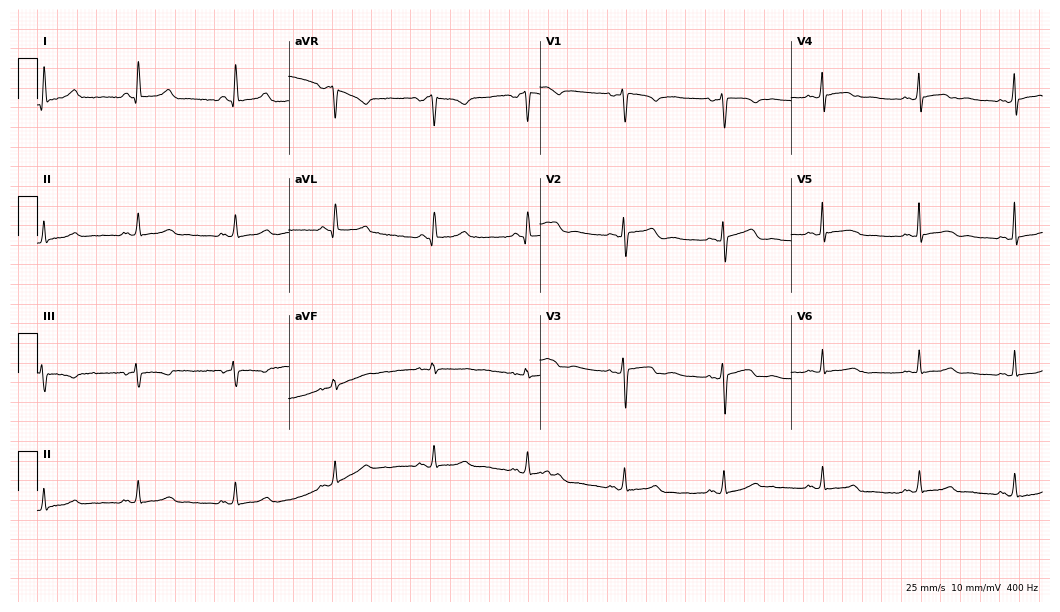
12-lead ECG from a 28-year-old woman. Recorded interpretation: within normal limits.